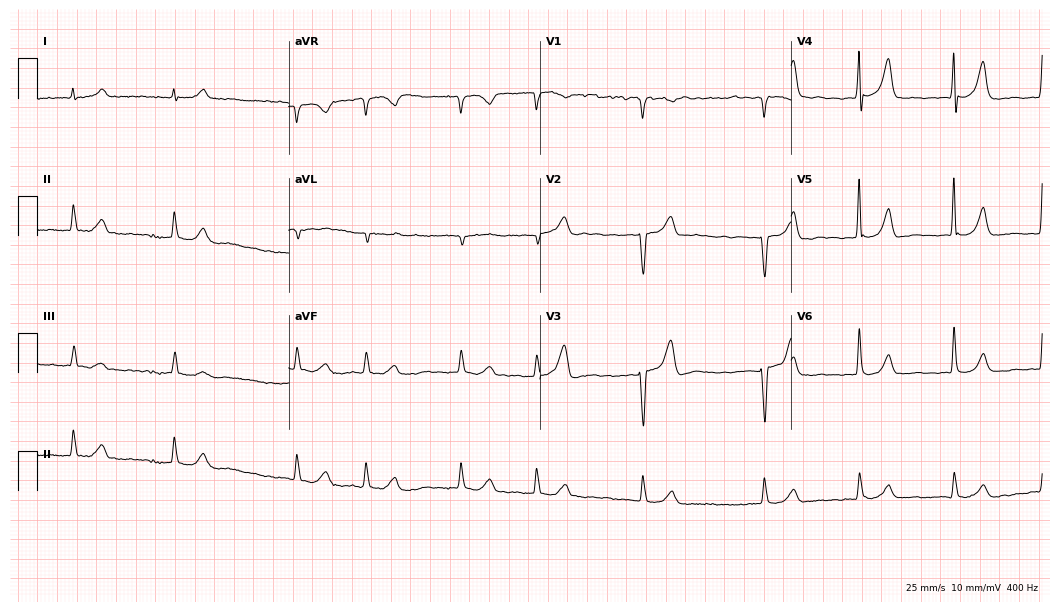
Electrocardiogram, an 83-year-old male patient. Interpretation includes atrial fibrillation.